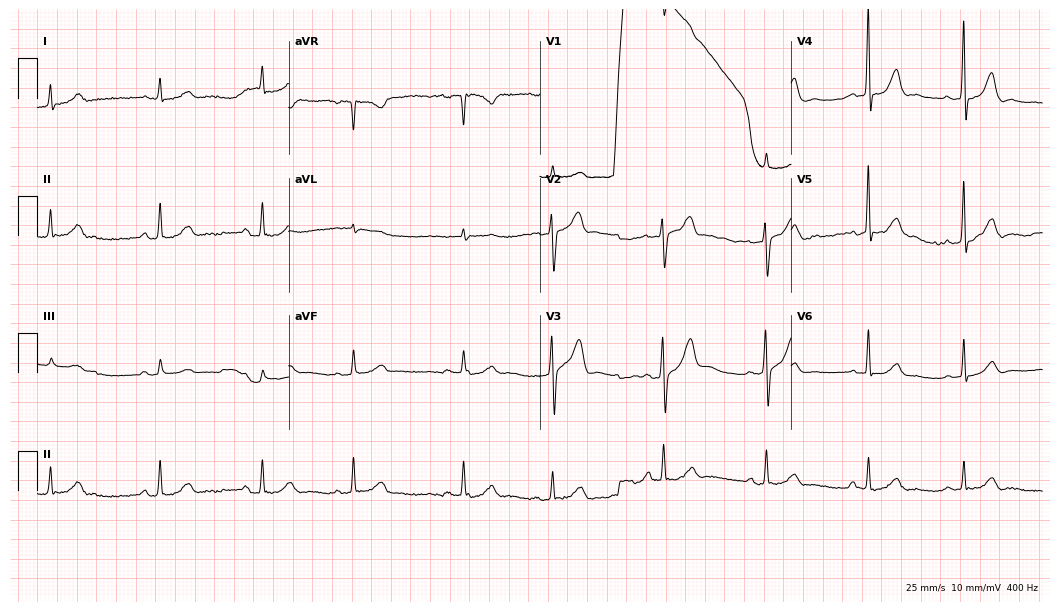
Resting 12-lead electrocardiogram. Patient: a 75-year-old female. None of these six findings is recorded: first-degree AV block, right bundle branch block (RBBB), left bundle branch block (LBBB), sinus bradycardia, atrial fibrillation (AF), sinus tachycardia. Other findings, if any, are not listed.